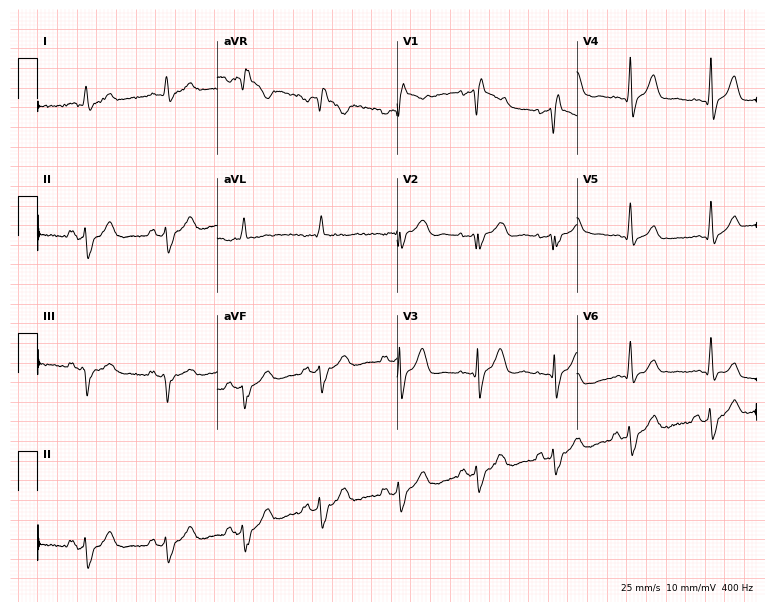
Standard 12-lead ECG recorded from a man, 75 years old (7.3-second recording at 400 Hz). None of these six findings is recorded: first-degree AV block, right bundle branch block (RBBB), left bundle branch block (LBBB), sinus bradycardia, atrial fibrillation (AF), sinus tachycardia.